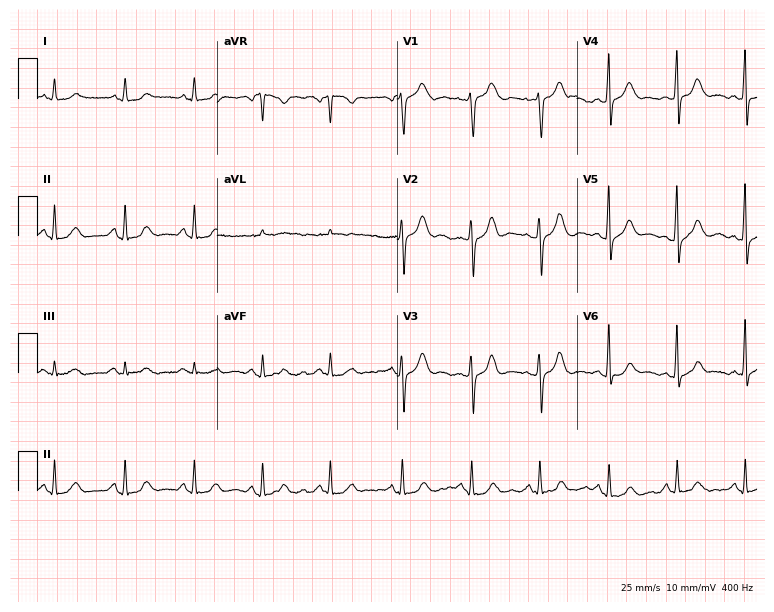
Resting 12-lead electrocardiogram. Patient: a 56-year-old woman. Read as a normal ECG.